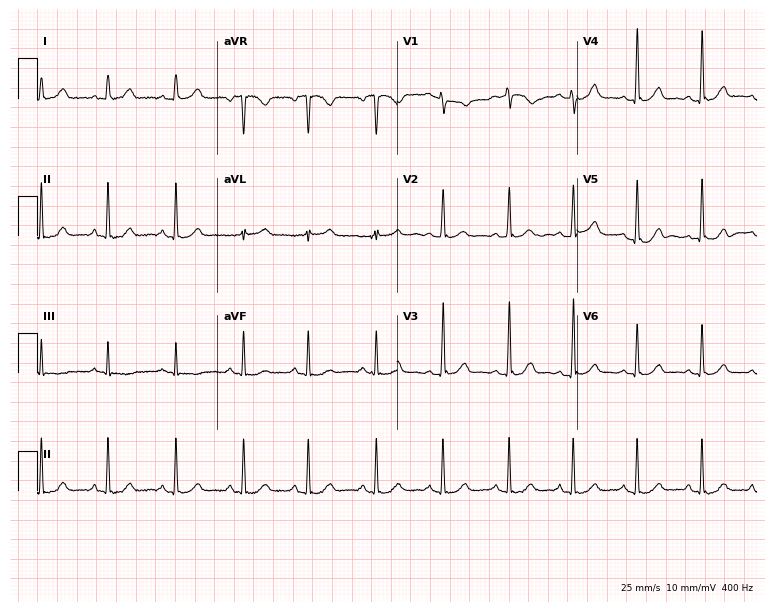
Electrocardiogram (7.3-second recording at 400 Hz), a 34-year-old woman. Overall reading on record: normal ECG.